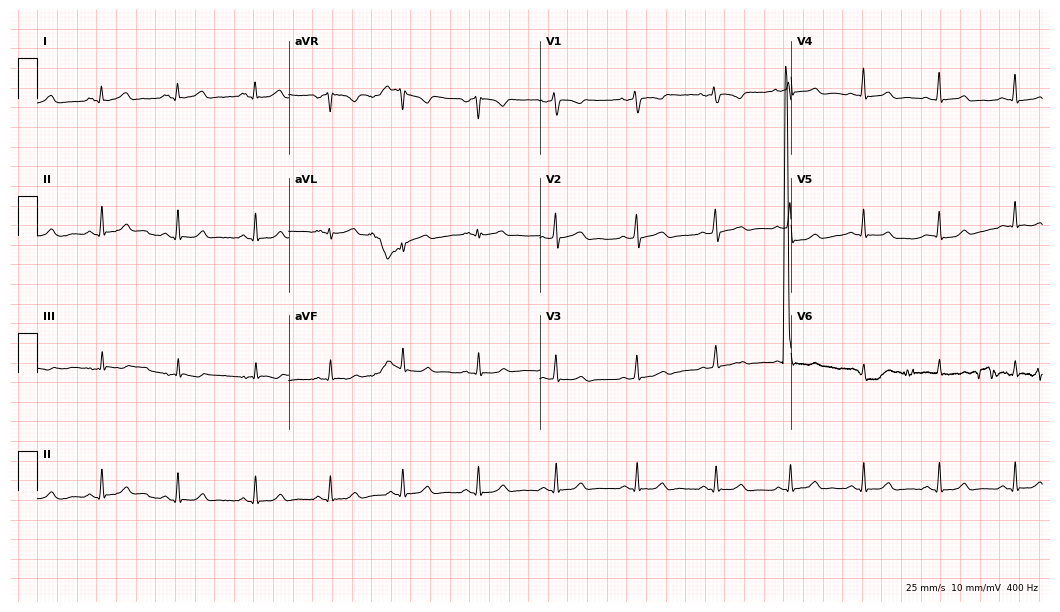
Electrocardiogram, a 32-year-old female patient. Overall reading on record: normal ECG.